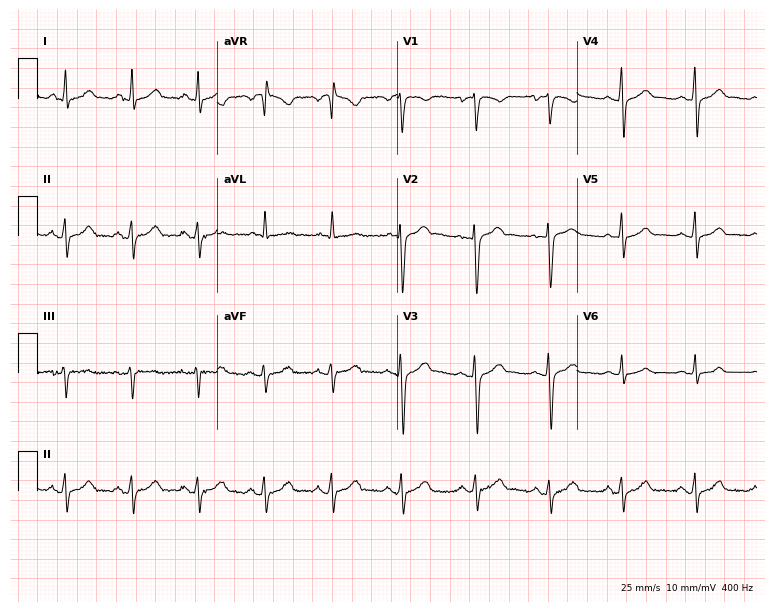
Resting 12-lead electrocardiogram (7.3-second recording at 400 Hz). Patient: a male, 32 years old. None of these six findings is recorded: first-degree AV block, right bundle branch block, left bundle branch block, sinus bradycardia, atrial fibrillation, sinus tachycardia.